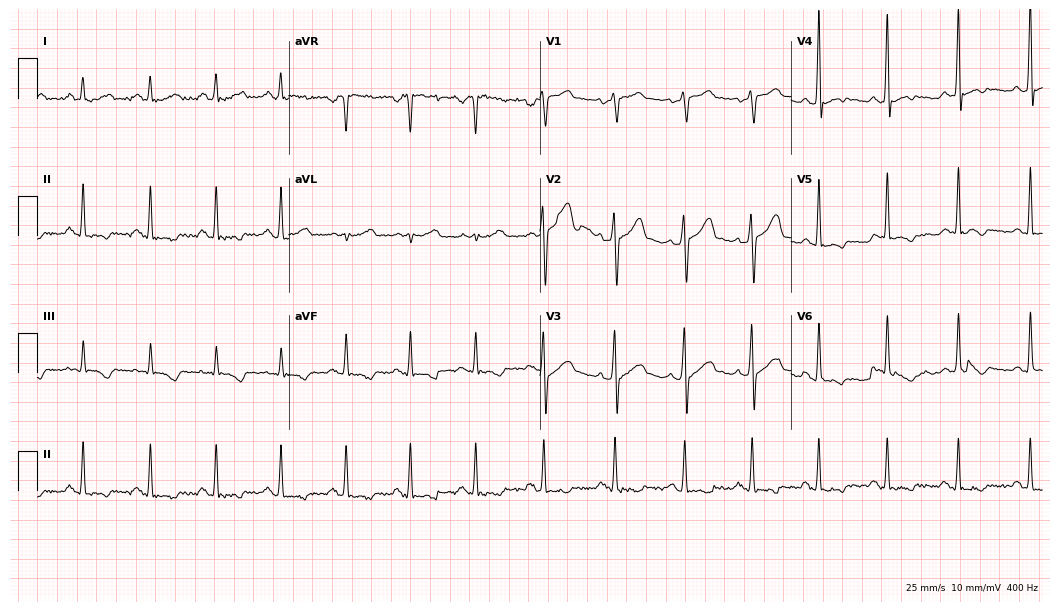
Electrocardiogram, a 34-year-old male. Of the six screened findings (first-degree AV block, right bundle branch block, left bundle branch block, sinus bradycardia, atrial fibrillation, sinus tachycardia), none is recorded. Only these six findings were labelled.